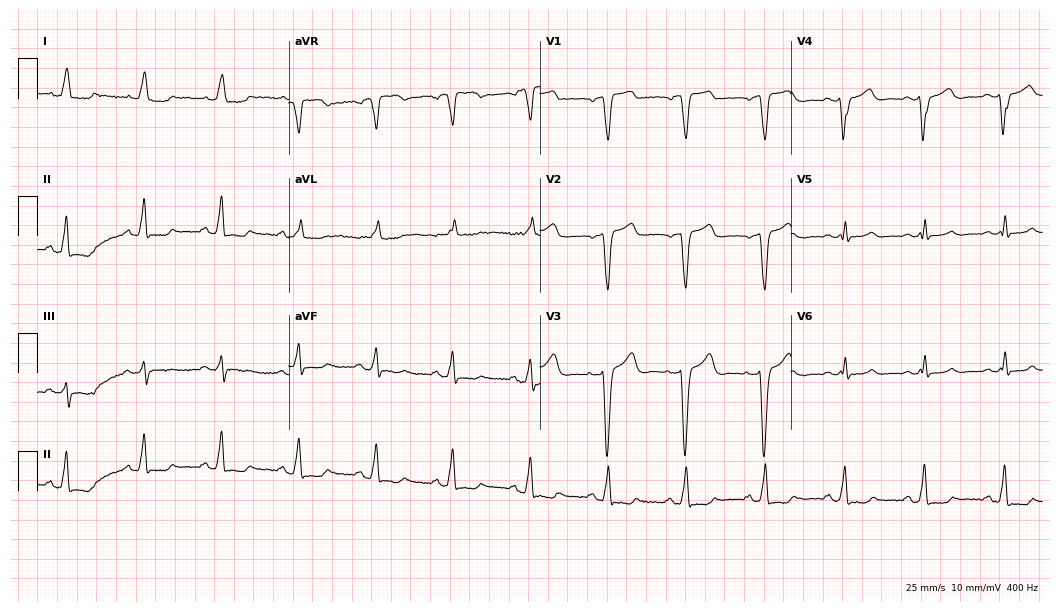
12-lead ECG from a female patient, 74 years old (10.2-second recording at 400 Hz). Shows left bundle branch block (LBBB).